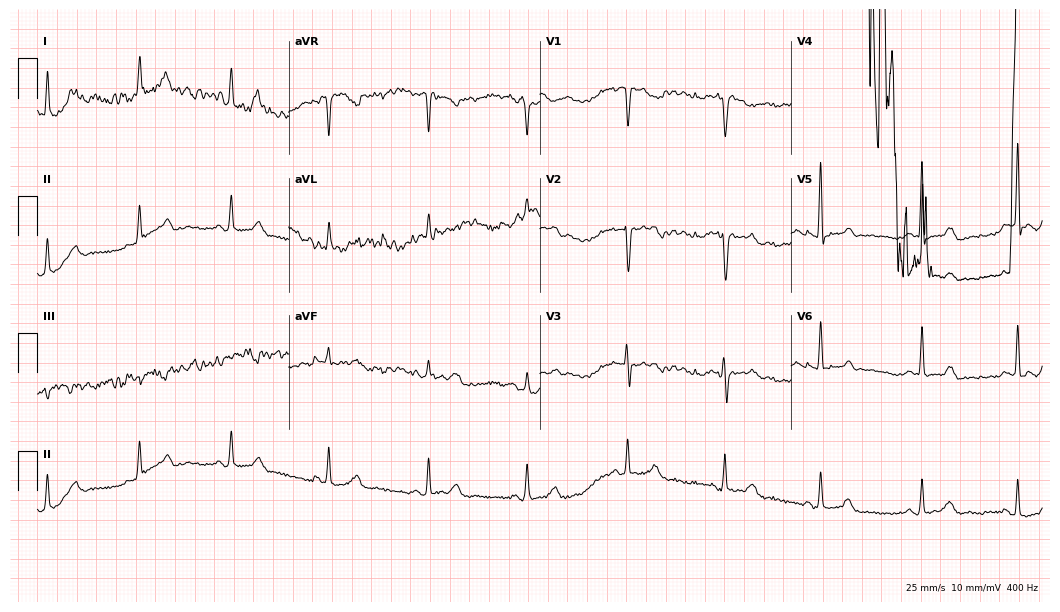
Resting 12-lead electrocardiogram (10.2-second recording at 400 Hz). Patient: a female, 52 years old. None of these six findings is recorded: first-degree AV block, right bundle branch block, left bundle branch block, sinus bradycardia, atrial fibrillation, sinus tachycardia. Only these six findings were labelled.